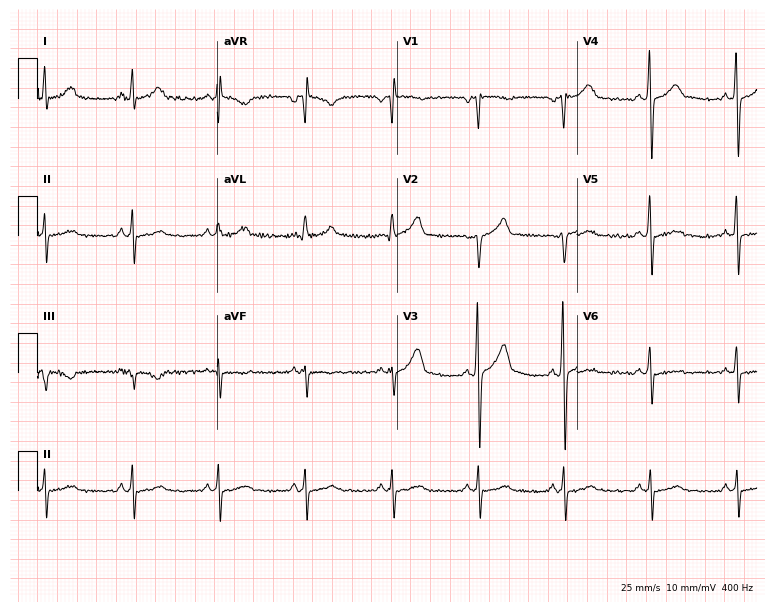
Standard 12-lead ECG recorded from a 45-year-old male patient (7.3-second recording at 400 Hz). Read as a normal ECG.